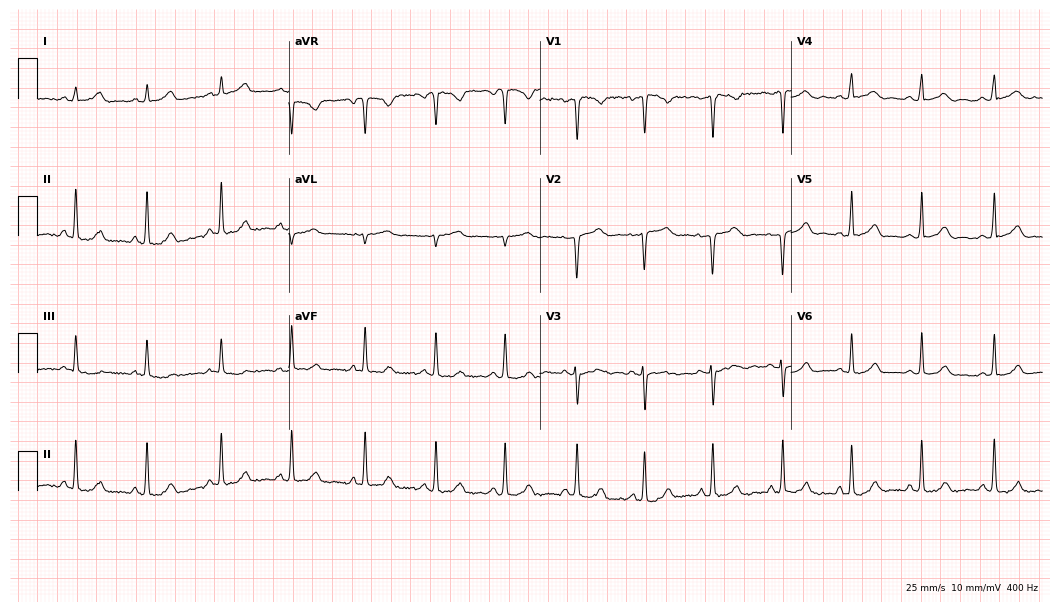
Standard 12-lead ECG recorded from a woman, 24 years old. Read as a normal ECG.